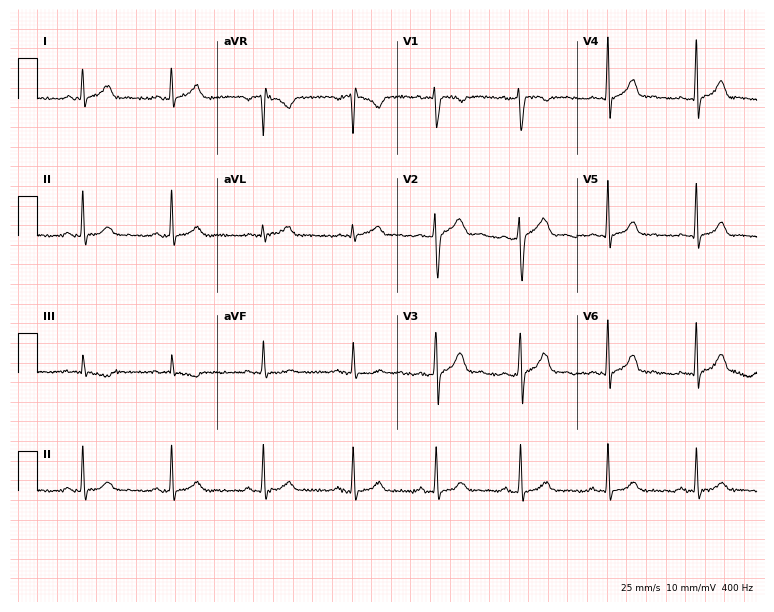
ECG (7.3-second recording at 400 Hz) — a 36-year-old male. Screened for six findings — first-degree AV block, right bundle branch block (RBBB), left bundle branch block (LBBB), sinus bradycardia, atrial fibrillation (AF), sinus tachycardia — none is recorded.